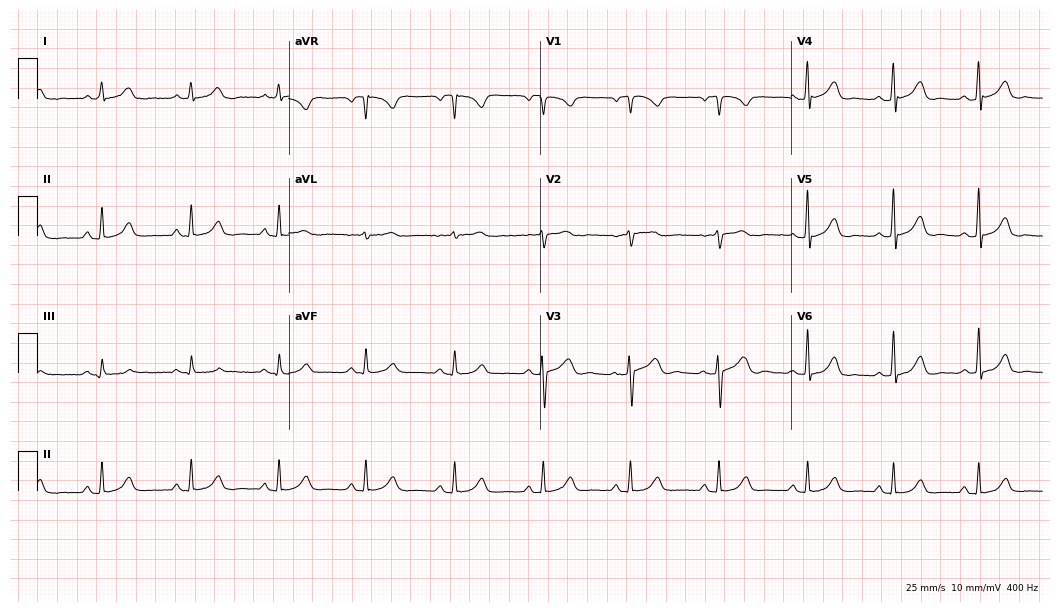
Electrocardiogram (10.2-second recording at 400 Hz), a woman, 48 years old. Overall reading on record: normal ECG.